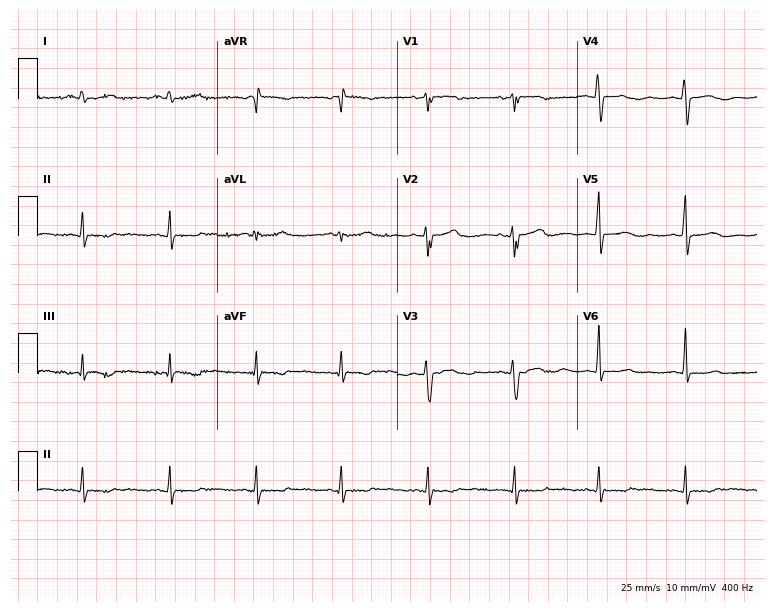
ECG (7.3-second recording at 400 Hz) — a 33-year-old female. Screened for six findings — first-degree AV block, right bundle branch block (RBBB), left bundle branch block (LBBB), sinus bradycardia, atrial fibrillation (AF), sinus tachycardia — none is recorded. Only these six findings were labelled.